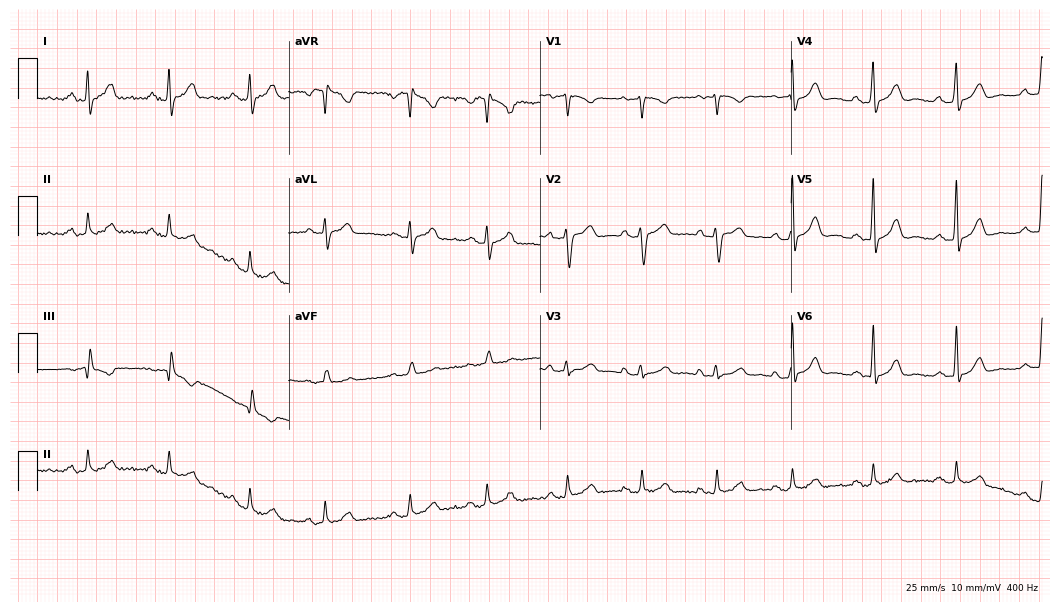
Electrocardiogram, a 42-year-old male. Overall reading on record: normal ECG.